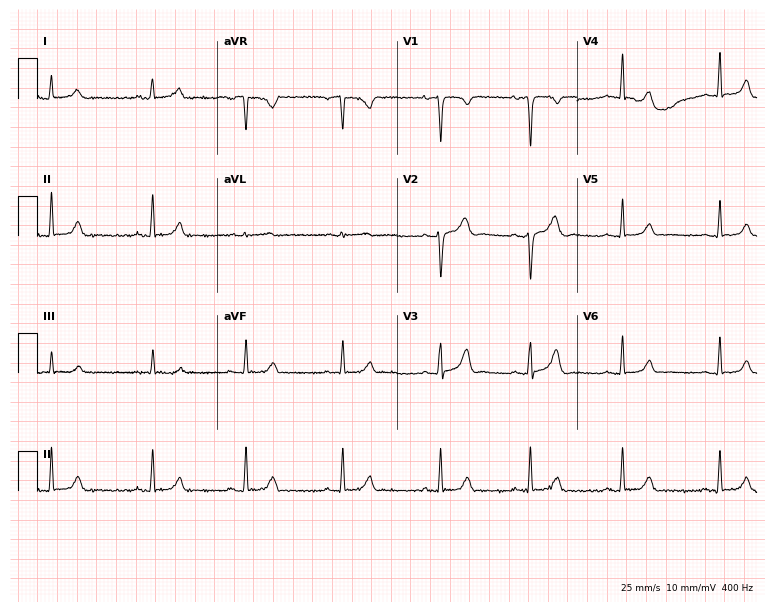
12-lead ECG from a 24-year-old female patient (7.3-second recording at 400 Hz). Recorded interpretation: within normal limits.